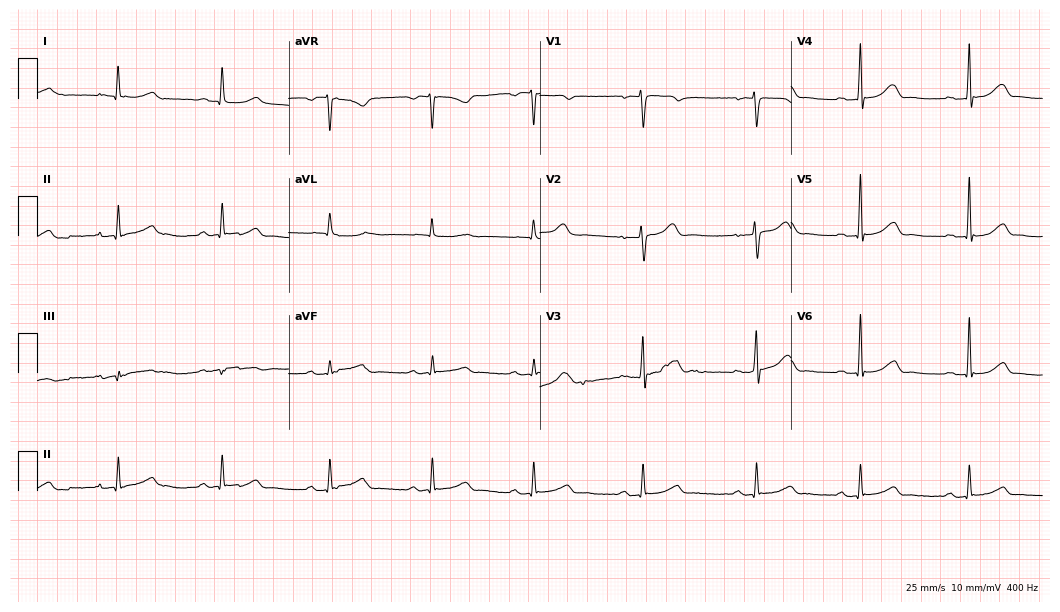
12-lead ECG from a 56-year-old woman (10.2-second recording at 400 Hz). No first-degree AV block, right bundle branch block, left bundle branch block, sinus bradycardia, atrial fibrillation or sinus tachycardia recorded for this tracing.